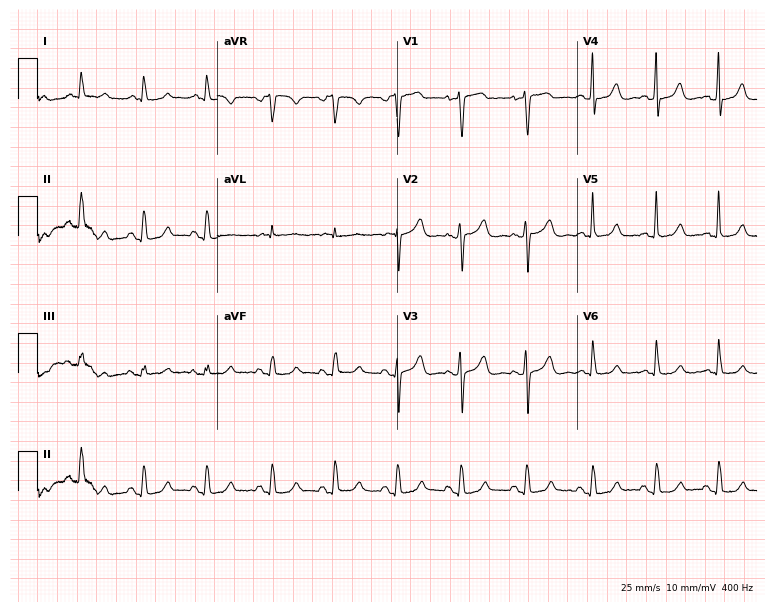
ECG — a 70-year-old female patient. Labelled as a normal ECG.